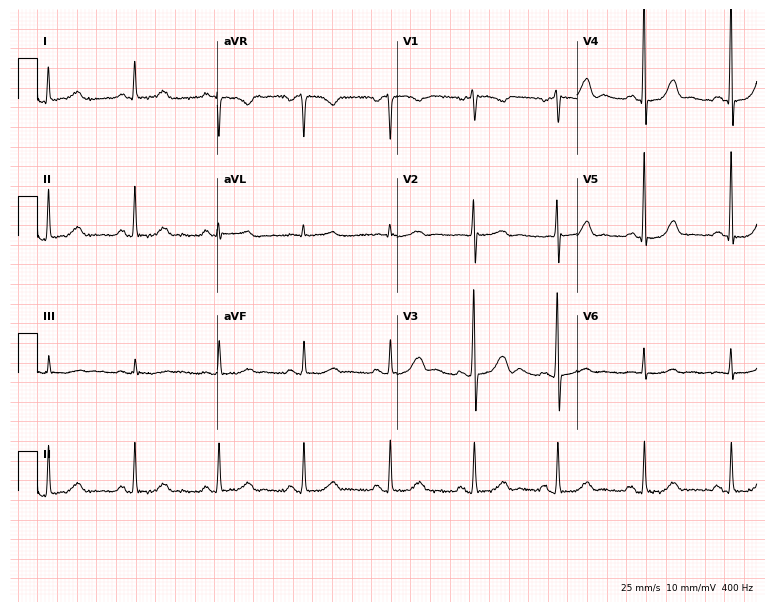
12-lead ECG from a 69-year-old female (7.3-second recording at 400 Hz). Recorded interpretation: within normal limits.